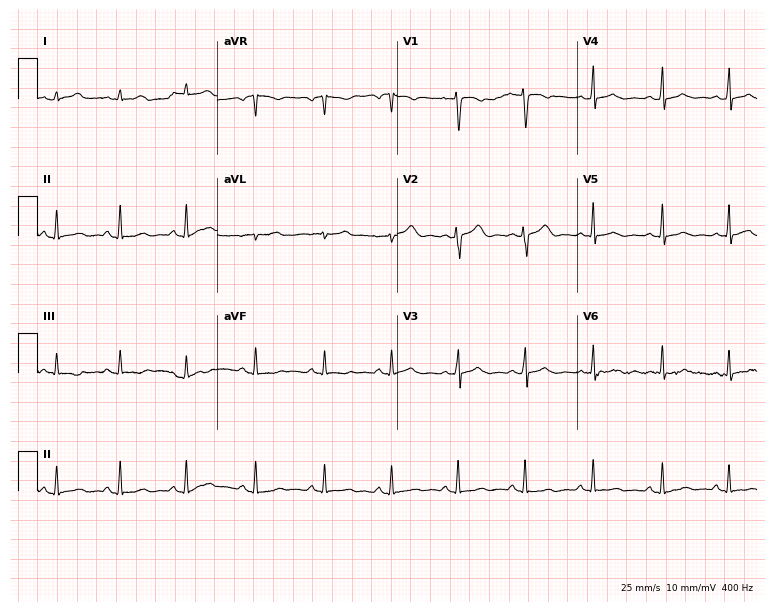
Resting 12-lead electrocardiogram (7.3-second recording at 400 Hz). Patient: a 31-year-old female. Read as a normal ECG.